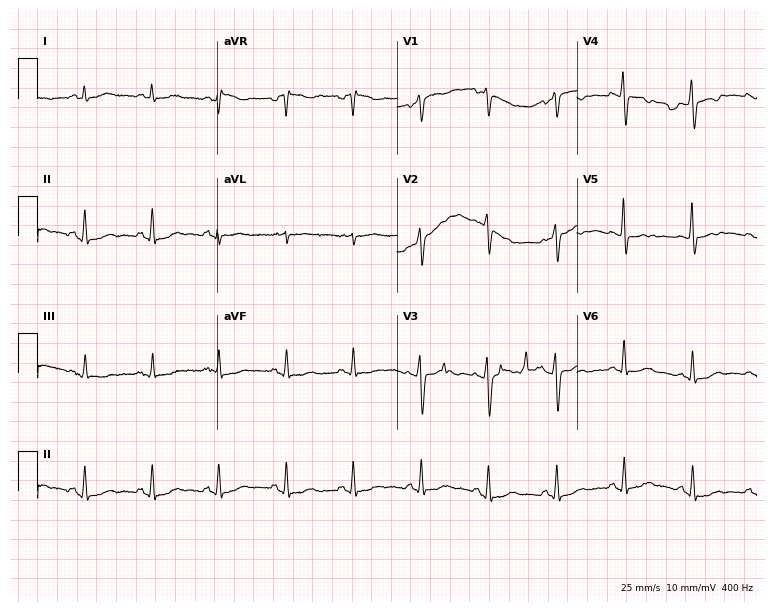
12-lead ECG from a woman, 43 years old. No first-degree AV block, right bundle branch block (RBBB), left bundle branch block (LBBB), sinus bradycardia, atrial fibrillation (AF) or sinus tachycardia recorded for this tracing.